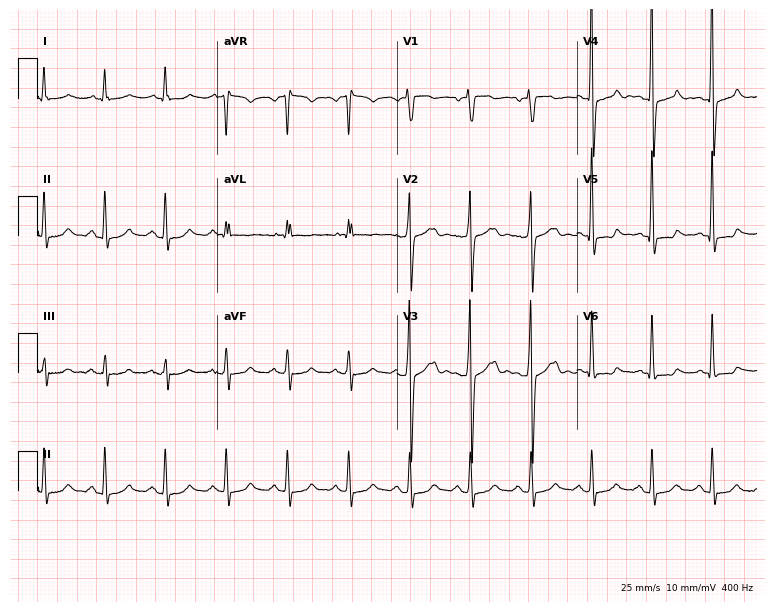
Resting 12-lead electrocardiogram (7.3-second recording at 400 Hz). Patient: a male, 67 years old. None of these six findings is recorded: first-degree AV block, right bundle branch block, left bundle branch block, sinus bradycardia, atrial fibrillation, sinus tachycardia.